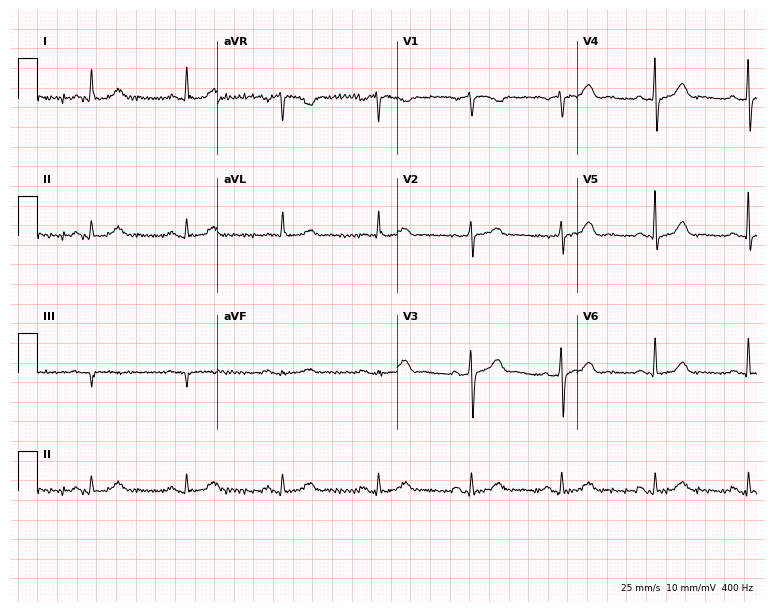
ECG (7.3-second recording at 400 Hz) — a female, 68 years old. Labelled as a normal ECG.